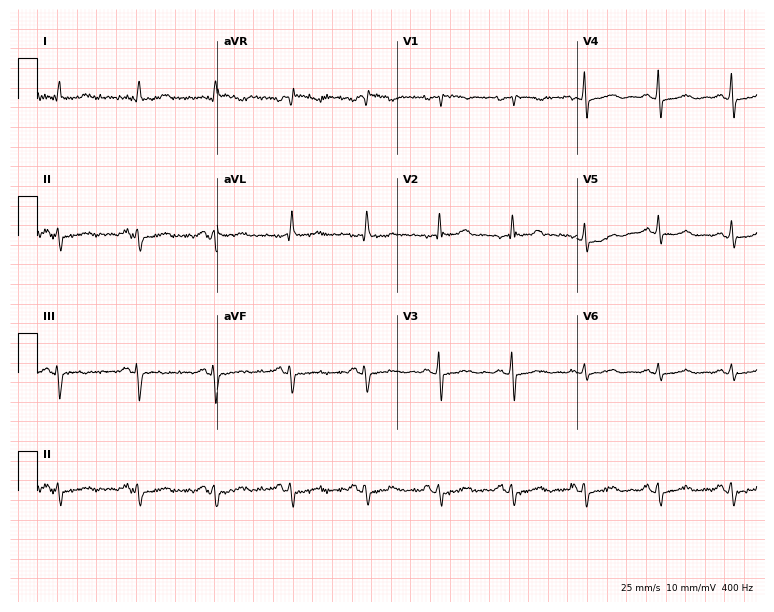
Standard 12-lead ECG recorded from a 66-year-old woman (7.3-second recording at 400 Hz). None of these six findings is recorded: first-degree AV block, right bundle branch block (RBBB), left bundle branch block (LBBB), sinus bradycardia, atrial fibrillation (AF), sinus tachycardia. Findings outside these six are not listed.